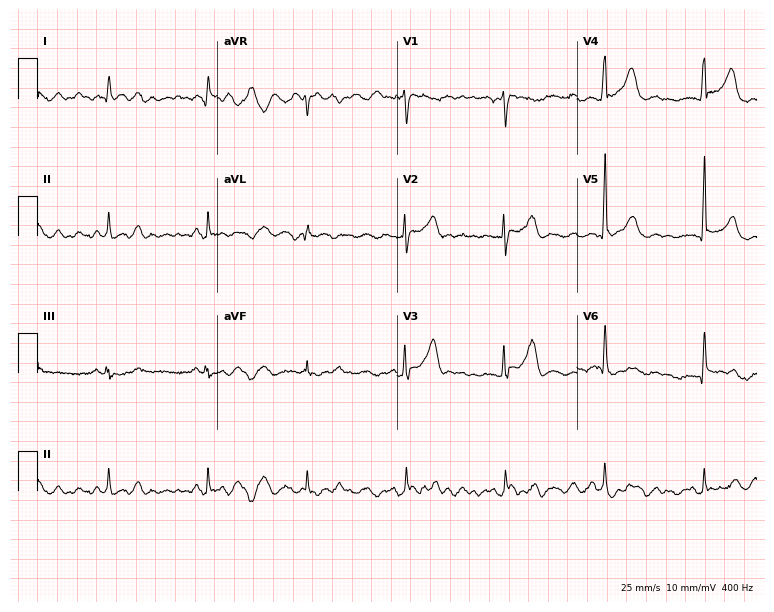
12-lead ECG from a 56-year-old male patient. No first-degree AV block, right bundle branch block, left bundle branch block, sinus bradycardia, atrial fibrillation or sinus tachycardia recorded for this tracing. Other findings, if any, are not listed.